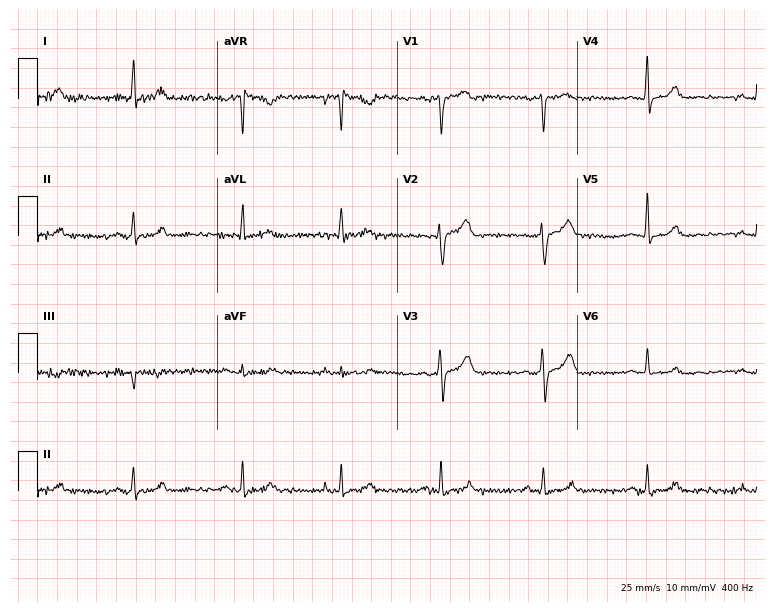
Resting 12-lead electrocardiogram. Patient: a 46-year-old woman. Read as a normal ECG.